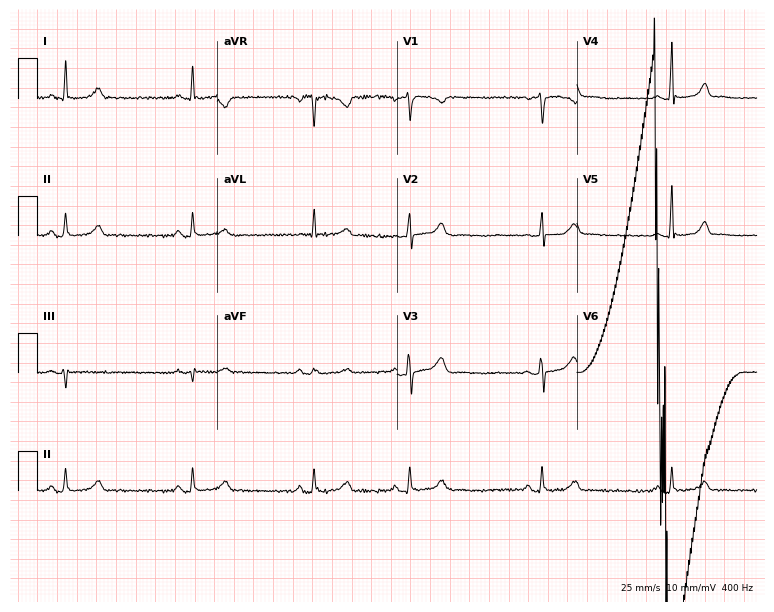
Electrocardiogram, a 37-year-old woman. Of the six screened findings (first-degree AV block, right bundle branch block, left bundle branch block, sinus bradycardia, atrial fibrillation, sinus tachycardia), none is recorded.